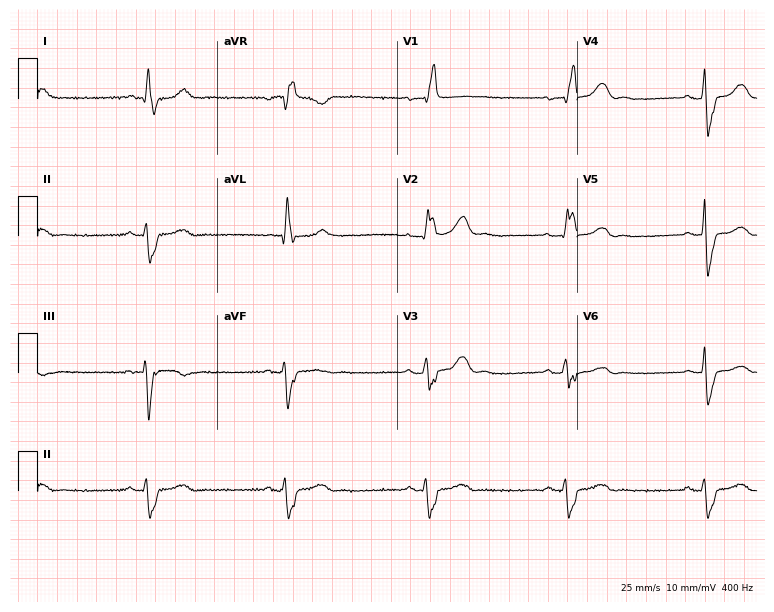
ECG — a male, 63 years old. Findings include right bundle branch block (RBBB).